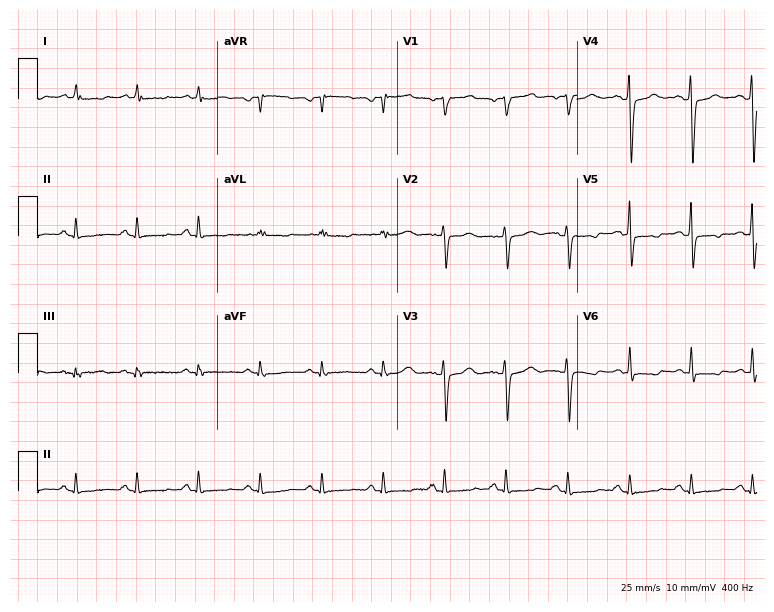
12-lead ECG from a female patient, 66 years old (7.3-second recording at 400 Hz). No first-degree AV block, right bundle branch block, left bundle branch block, sinus bradycardia, atrial fibrillation or sinus tachycardia recorded for this tracing. Findings outside these six are not listed.